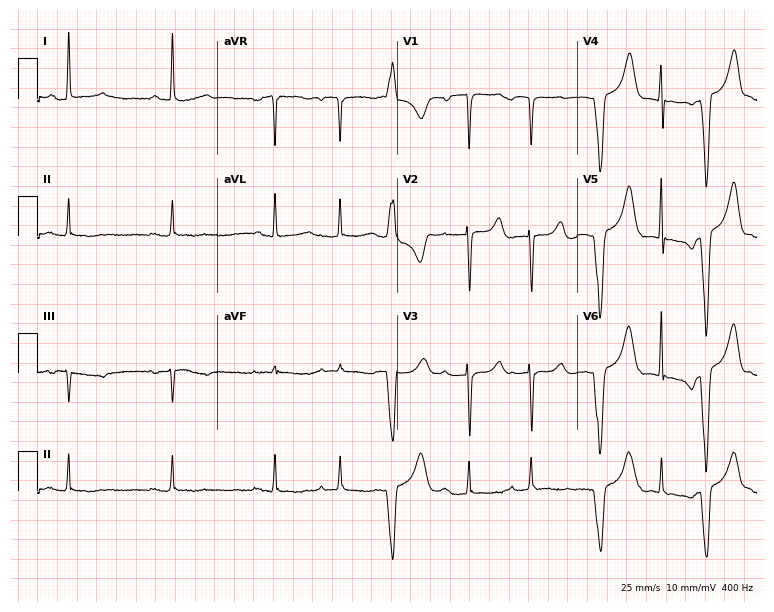
12-lead ECG from a 74-year-old female. No first-degree AV block, right bundle branch block, left bundle branch block, sinus bradycardia, atrial fibrillation or sinus tachycardia recorded for this tracing. Only these six findings were labelled.